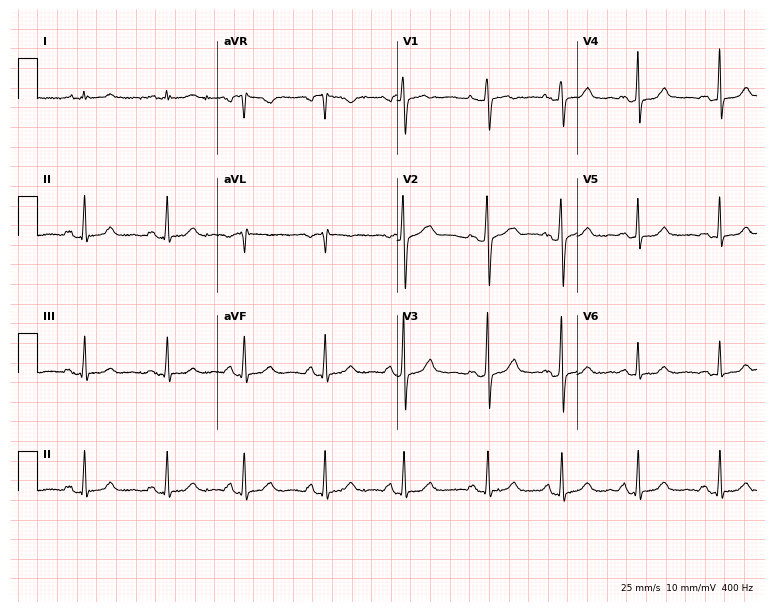
12-lead ECG from a female, 50 years old (7.3-second recording at 400 Hz). Recorded interpretation: within normal limits.